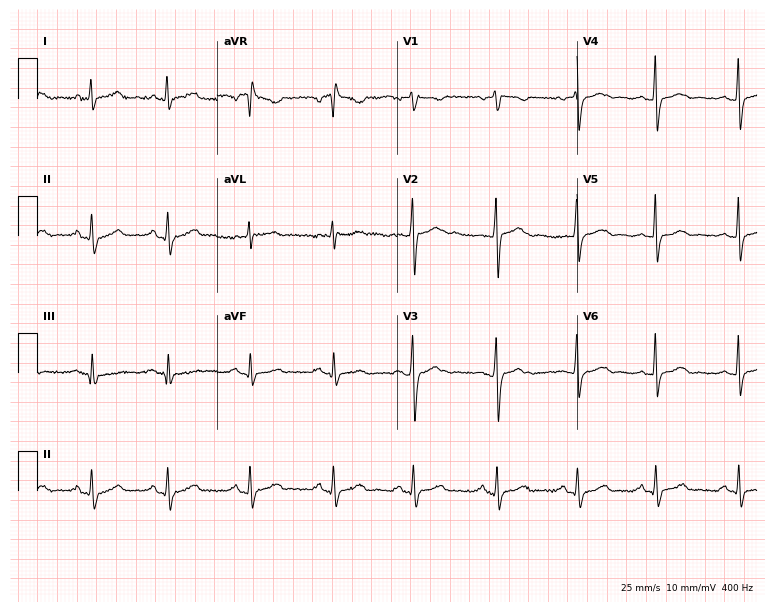
Resting 12-lead electrocardiogram (7.3-second recording at 400 Hz). Patient: a male, 33 years old. None of these six findings is recorded: first-degree AV block, right bundle branch block, left bundle branch block, sinus bradycardia, atrial fibrillation, sinus tachycardia. Only these six findings were labelled.